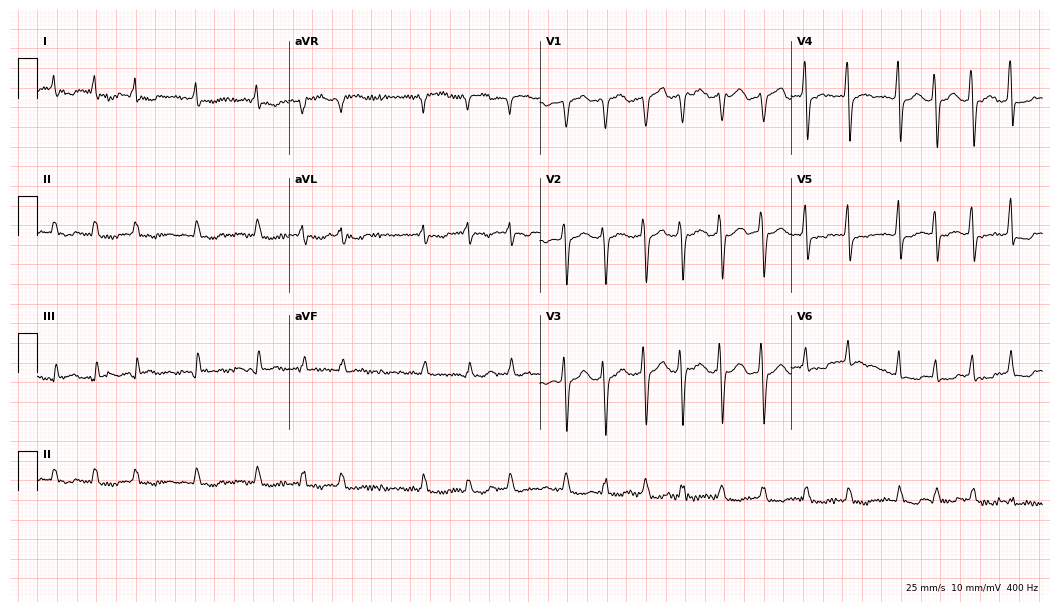
12-lead ECG from a female patient, 52 years old (10.2-second recording at 400 Hz). Shows atrial fibrillation.